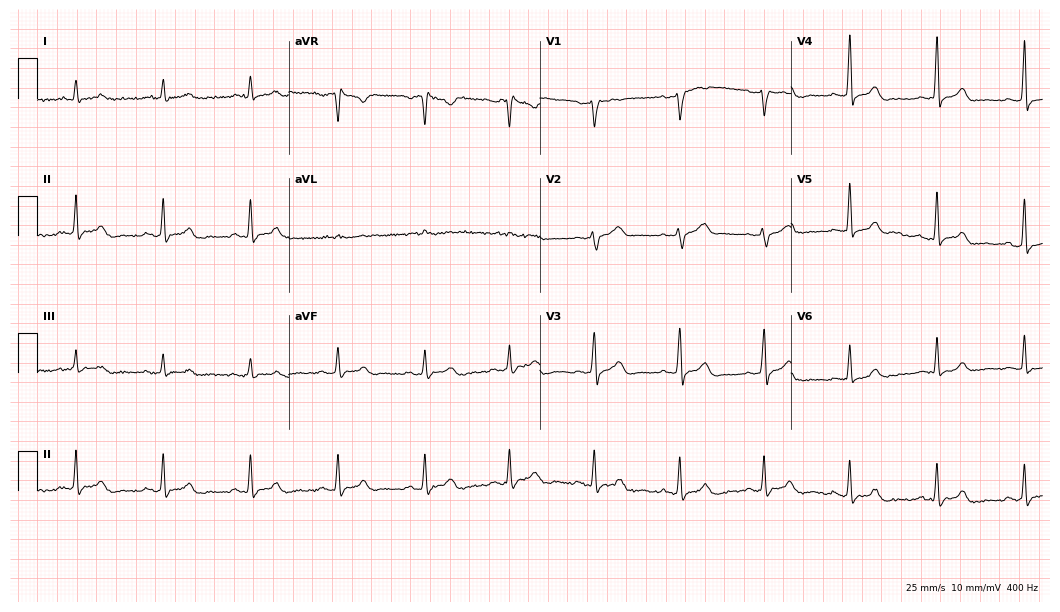
12-lead ECG from a male patient, 68 years old. No first-degree AV block, right bundle branch block (RBBB), left bundle branch block (LBBB), sinus bradycardia, atrial fibrillation (AF) or sinus tachycardia recorded for this tracing.